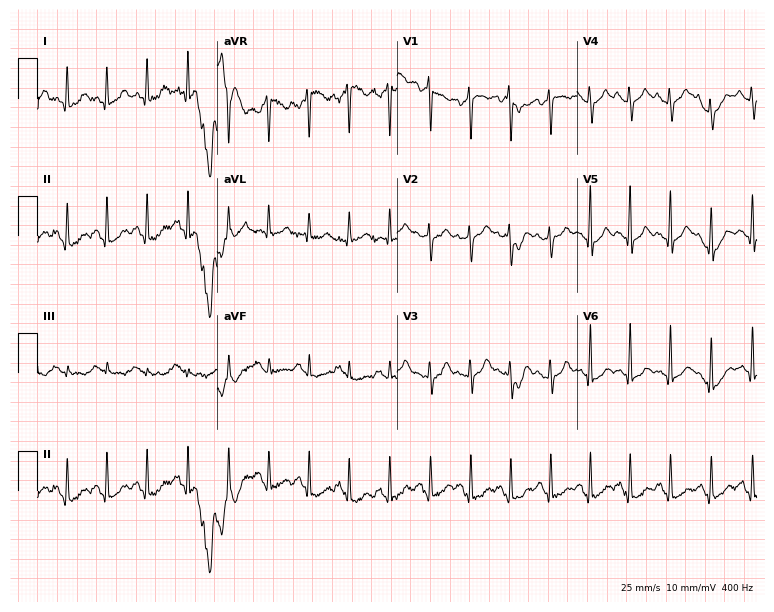
Standard 12-lead ECG recorded from a 35-year-old female (7.3-second recording at 400 Hz). The tracing shows sinus tachycardia (a sinus rate of 100 beats per minute or more).